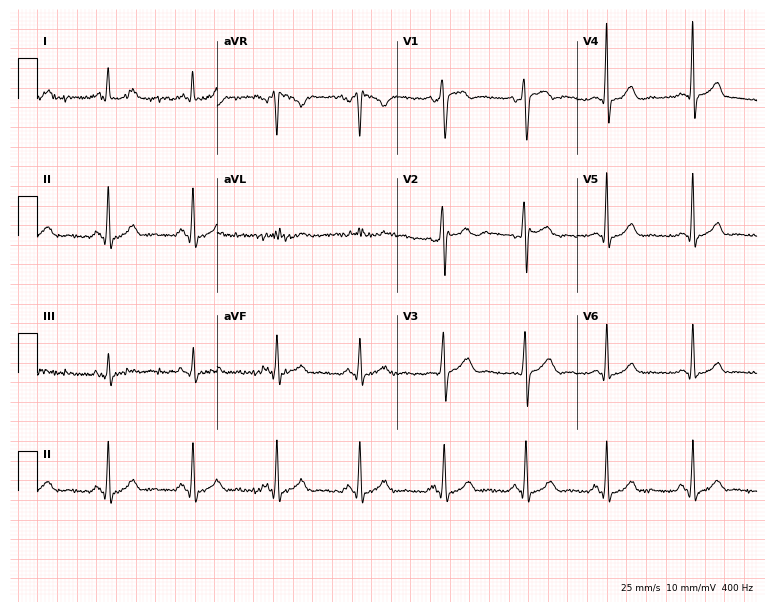
Electrocardiogram (7.3-second recording at 400 Hz), a 31-year-old male. Of the six screened findings (first-degree AV block, right bundle branch block (RBBB), left bundle branch block (LBBB), sinus bradycardia, atrial fibrillation (AF), sinus tachycardia), none is recorded. Other findings, if any, are not listed.